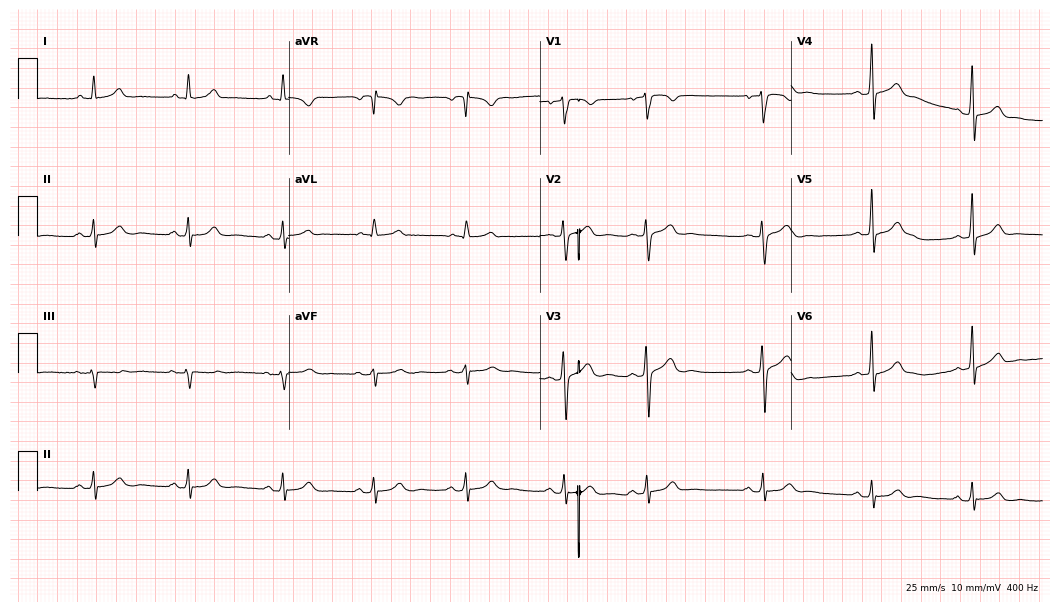
Resting 12-lead electrocardiogram (10.2-second recording at 400 Hz). Patient: a male, 28 years old. Read as a normal ECG.